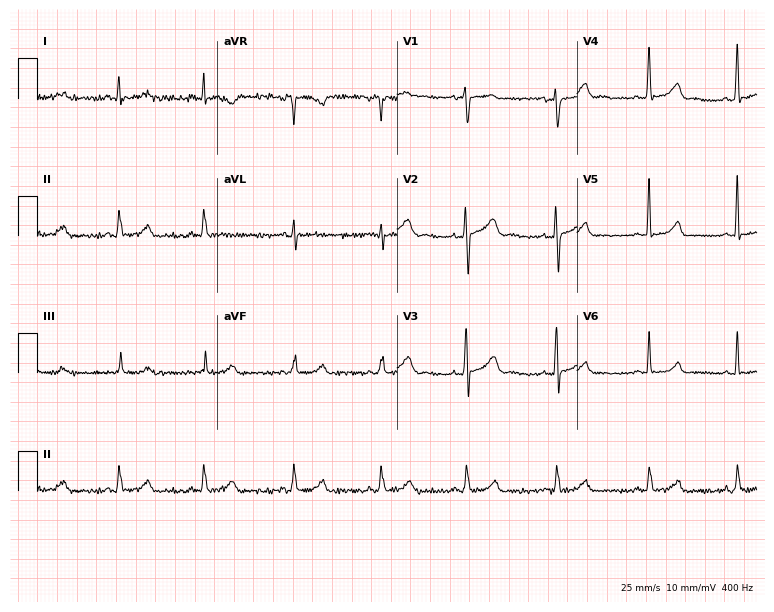
Standard 12-lead ECG recorded from a 41-year-old female patient (7.3-second recording at 400 Hz). Read as a normal ECG.